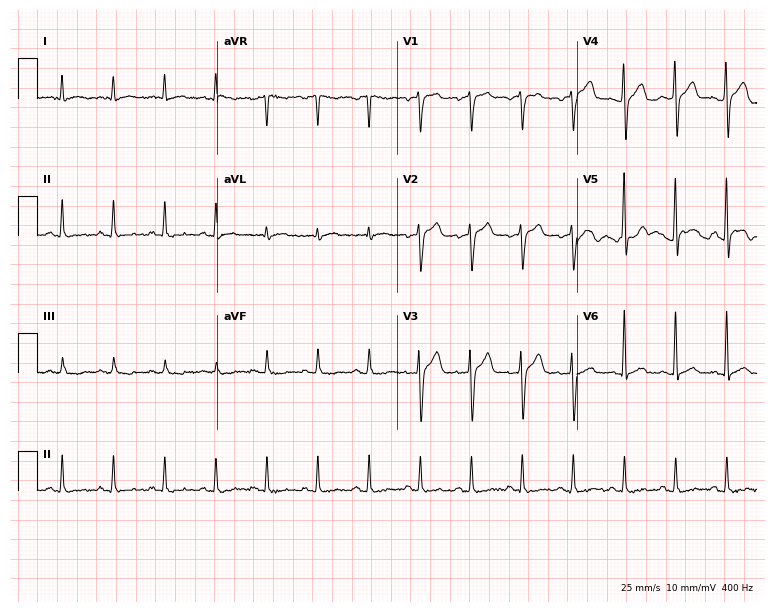
Resting 12-lead electrocardiogram. Patient: a 36-year-old male. None of these six findings is recorded: first-degree AV block, right bundle branch block, left bundle branch block, sinus bradycardia, atrial fibrillation, sinus tachycardia. Findings outside these six are not listed.